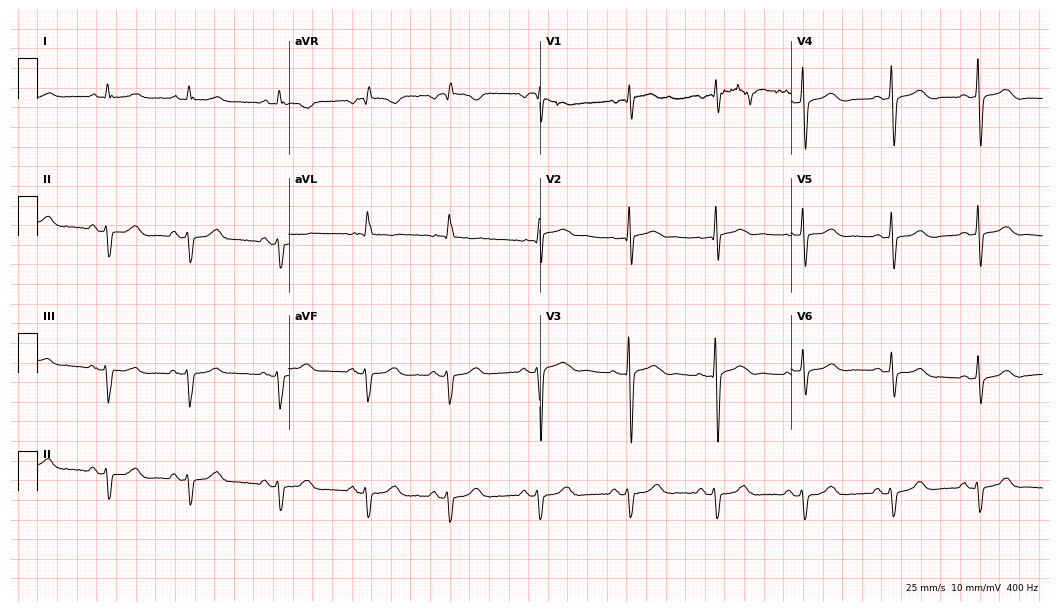
ECG (10.2-second recording at 400 Hz) — a male patient, 77 years old. Screened for six findings — first-degree AV block, right bundle branch block (RBBB), left bundle branch block (LBBB), sinus bradycardia, atrial fibrillation (AF), sinus tachycardia — none is recorded. Other findings, if any, are not listed.